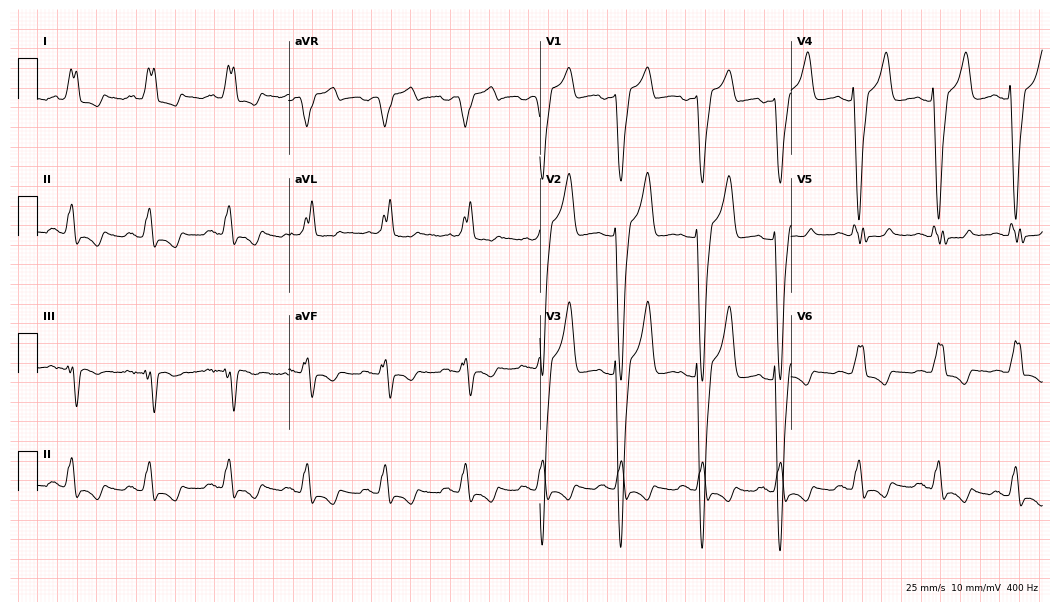
Electrocardiogram, a 61-year-old female patient. Interpretation includes left bundle branch block (LBBB).